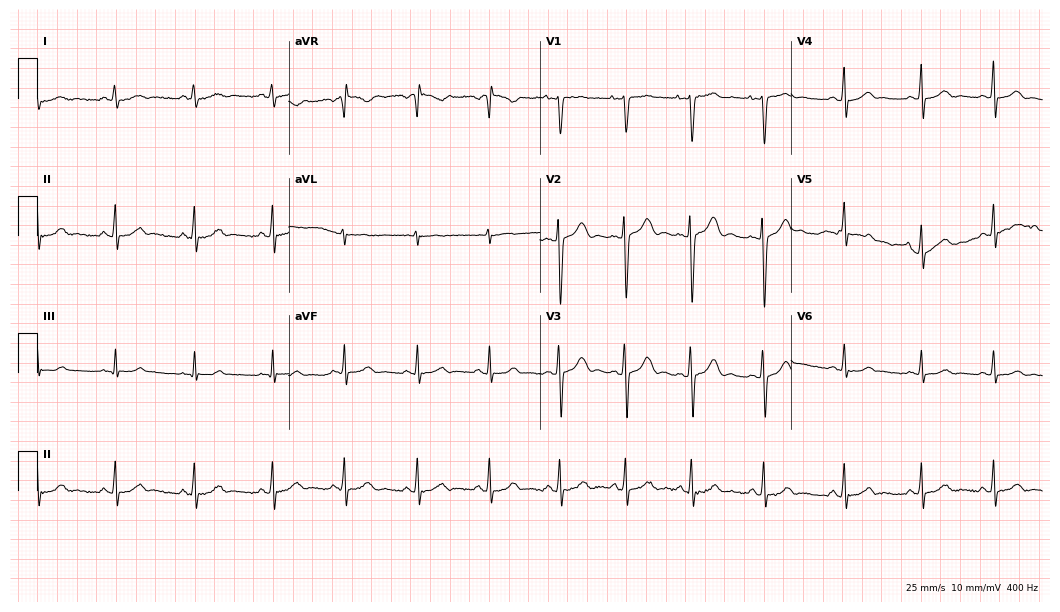
ECG — a female patient, 17 years old. Labelled as a normal ECG.